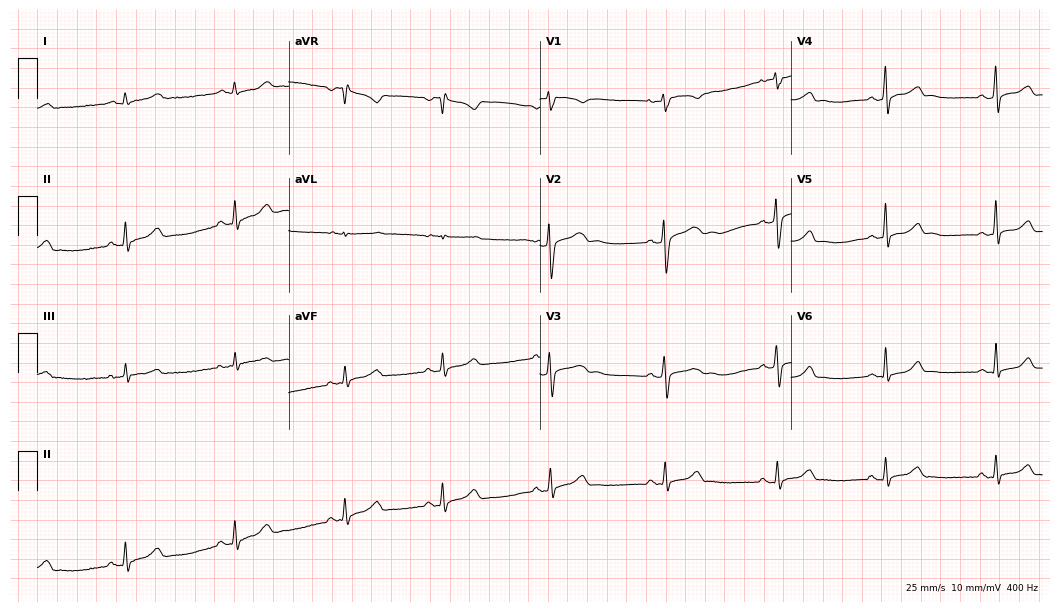
Electrocardiogram, a female patient, 27 years old. Overall reading on record: normal ECG.